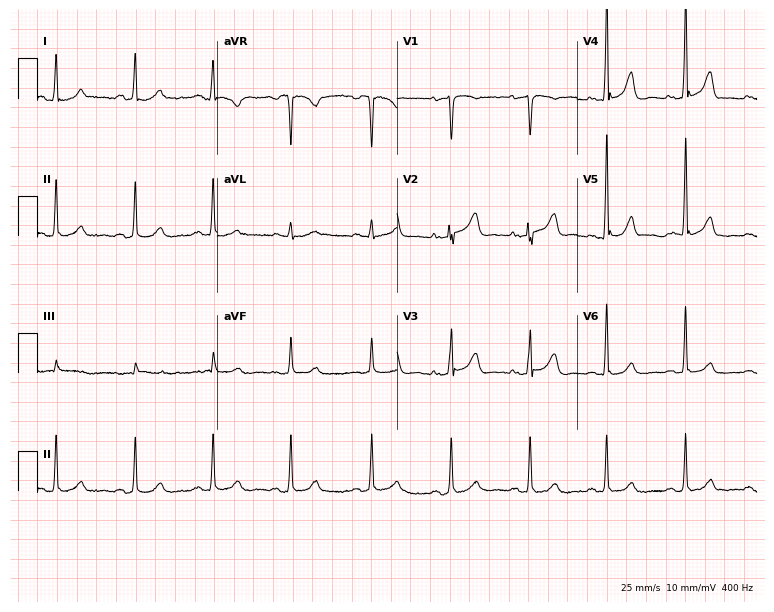
Standard 12-lead ECG recorded from a 57-year-old female patient. None of these six findings is recorded: first-degree AV block, right bundle branch block (RBBB), left bundle branch block (LBBB), sinus bradycardia, atrial fibrillation (AF), sinus tachycardia.